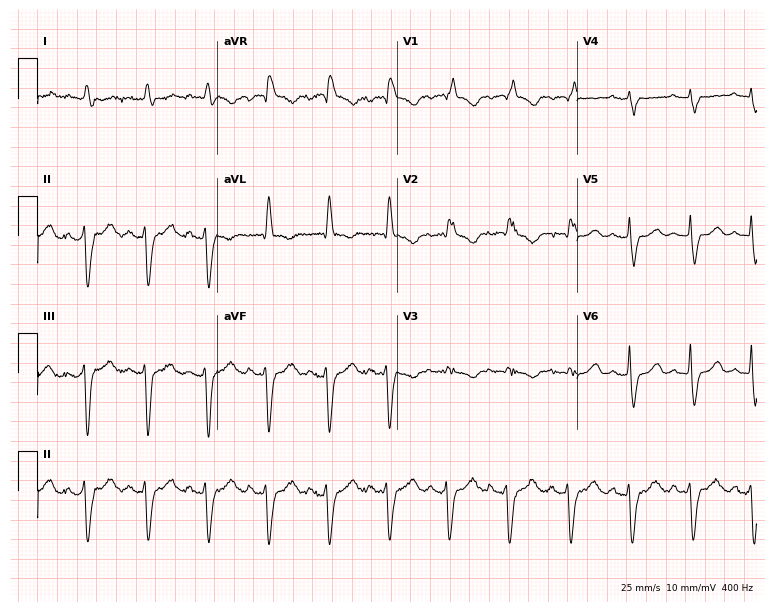
ECG (7.3-second recording at 400 Hz) — a female patient, 77 years old. Findings include right bundle branch block (RBBB).